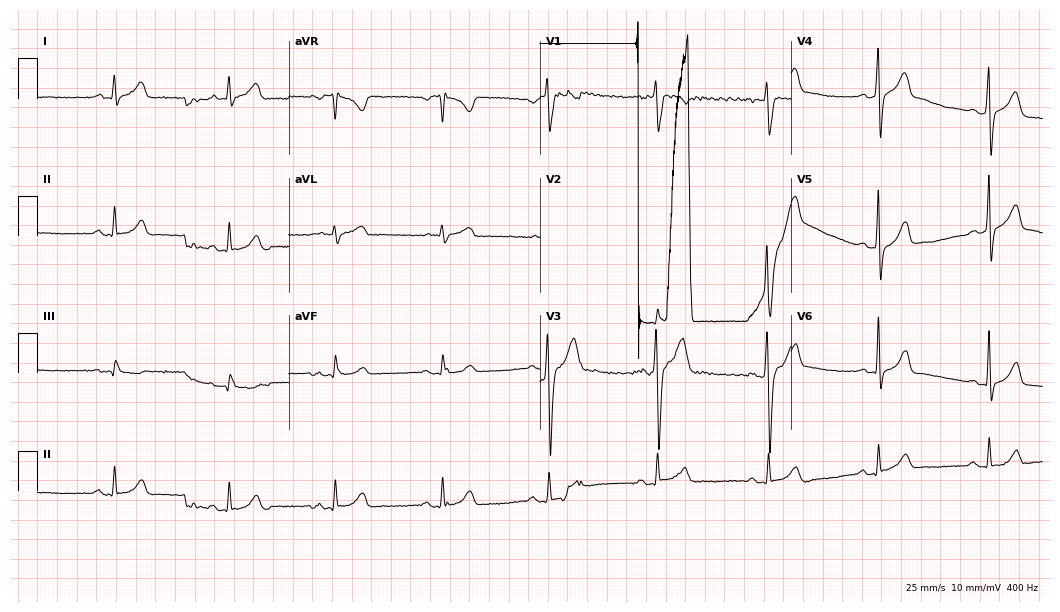
Standard 12-lead ECG recorded from a male patient, 26 years old. None of these six findings is recorded: first-degree AV block, right bundle branch block (RBBB), left bundle branch block (LBBB), sinus bradycardia, atrial fibrillation (AF), sinus tachycardia.